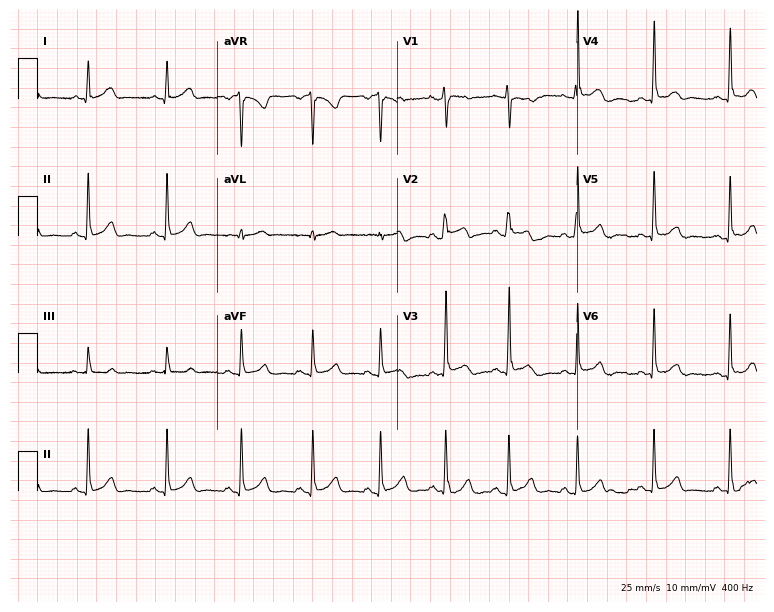
12-lead ECG (7.3-second recording at 400 Hz) from a 21-year-old man. Screened for six findings — first-degree AV block, right bundle branch block (RBBB), left bundle branch block (LBBB), sinus bradycardia, atrial fibrillation (AF), sinus tachycardia — none is recorded. Findings outside these six are not listed.